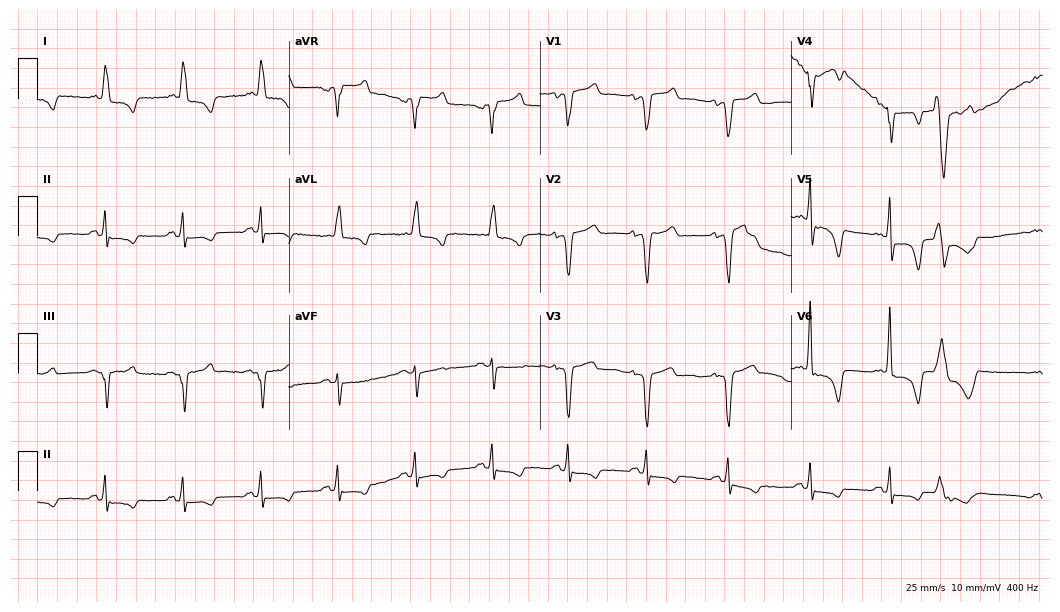
Electrocardiogram, a 75-year-old man. Of the six screened findings (first-degree AV block, right bundle branch block (RBBB), left bundle branch block (LBBB), sinus bradycardia, atrial fibrillation (AF), sinus tachycardia), none is recorded. Findings outside these six are not listed.